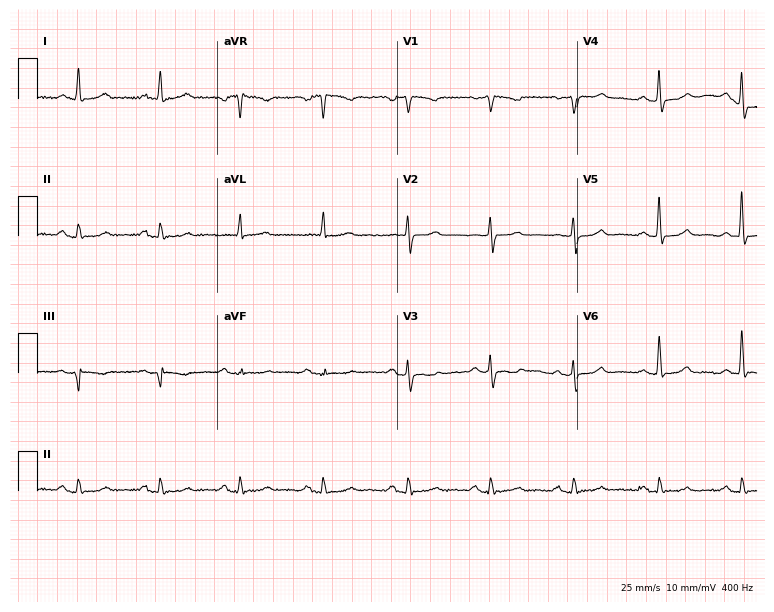
12-lead ECG (7.3-second recording at 400 Hz) from a 60-year-old female. Screened for six findings — first-degree AV block, right bundle branch block (RBBB), left bundle branch block (LBBB), sinus bradycardia, atrial fibrillation (AF), sinus tachycardia — none is recorded. Other findings, if any, are not listed.